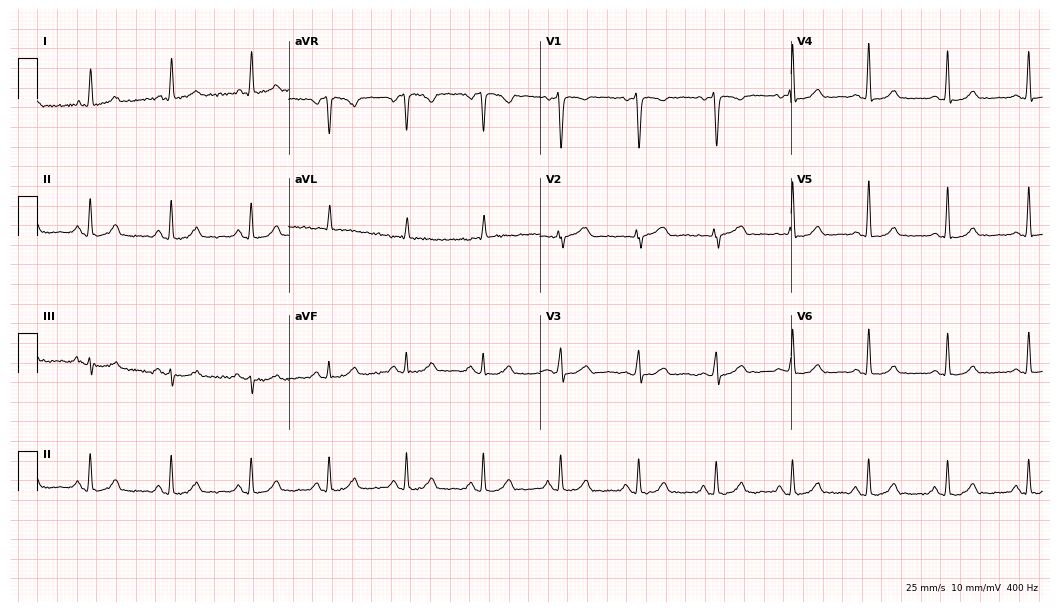
12-lead ECG from a 46-year-old woman. Labelled as a normal ECG.